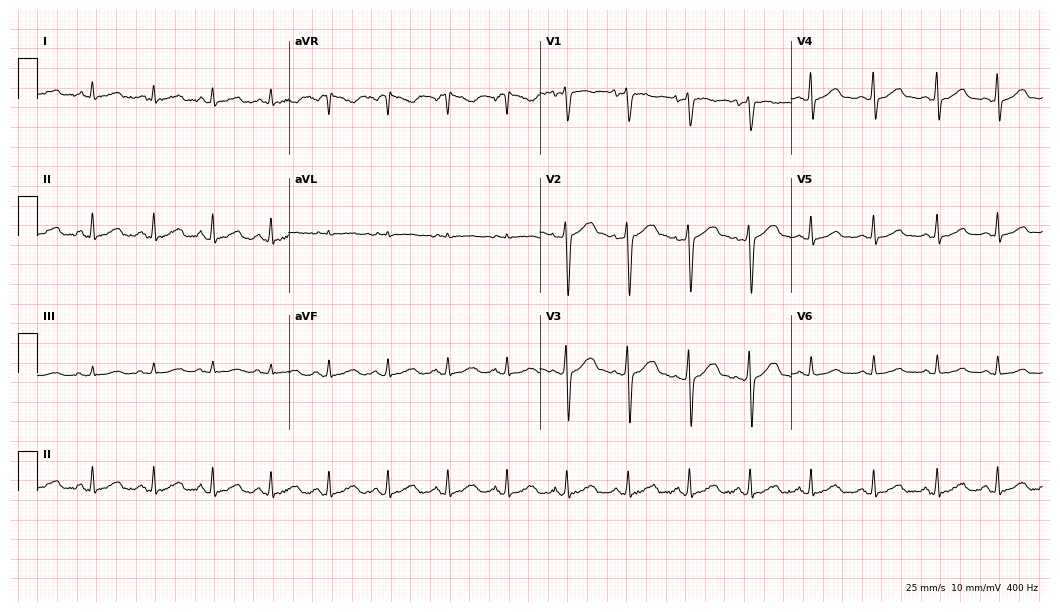
ECG — a 40-year-old female patient. Screened for six findings — first-degree AV block, right bundle branch block, left bundle branch block, sinus bradycardia, atrial fibrillation, sinus tachycardia — none is recorded. Findings outside these six are not listed.